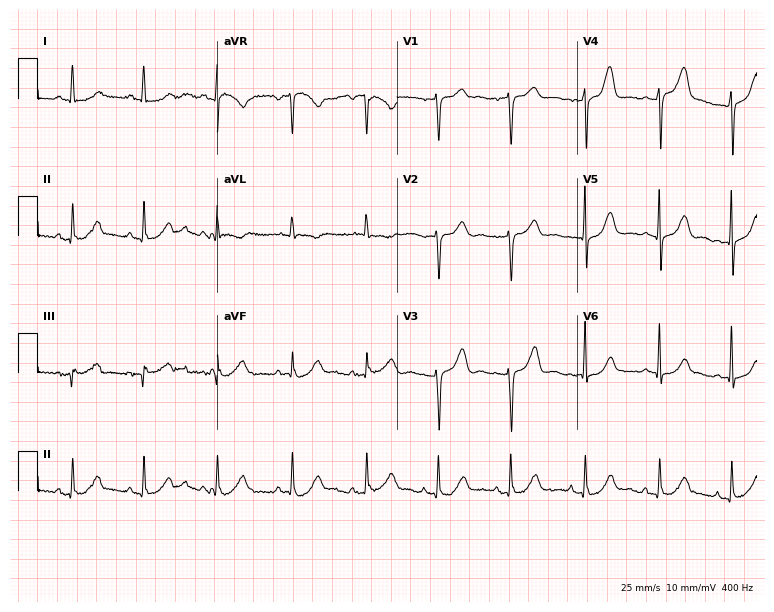
ECG (7.3-second recording at 400 Hz) — a female, 75 years old. Screened for six findings — first-degree AV block, right bundle branch block (RBBB), left bundle branch block (LBBB), sinus bradycardia, atrial fibrillation (AF), sinus tachycardia — none is recorded.